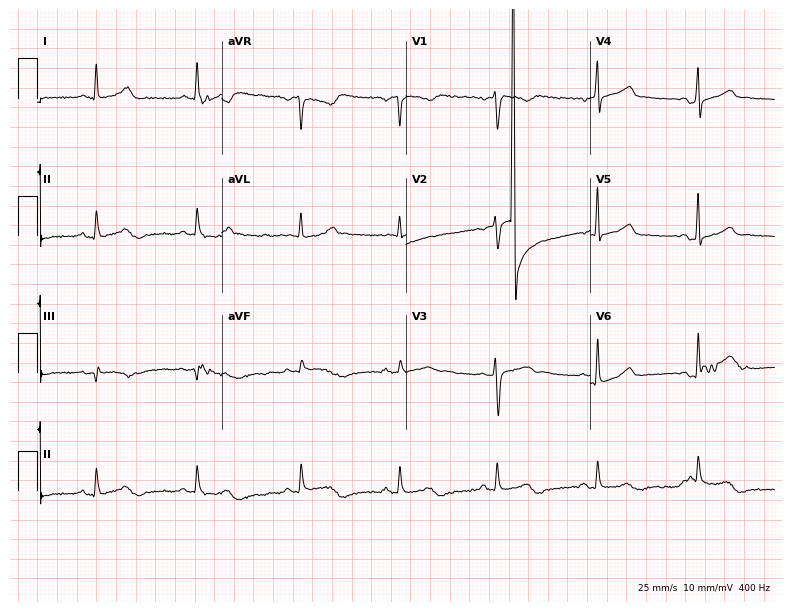
ECG (7.5-second recording at 400 Hz) — a 48-year-old woman. Screened for six findings — first-degree AV block, right bundle branch block (RBBB), left bundle branch block (LBBB), sinus bradycardia, atrial fibrillation (AF), sinus tachycardia — none is recorded. Findings outside these six are not listed.